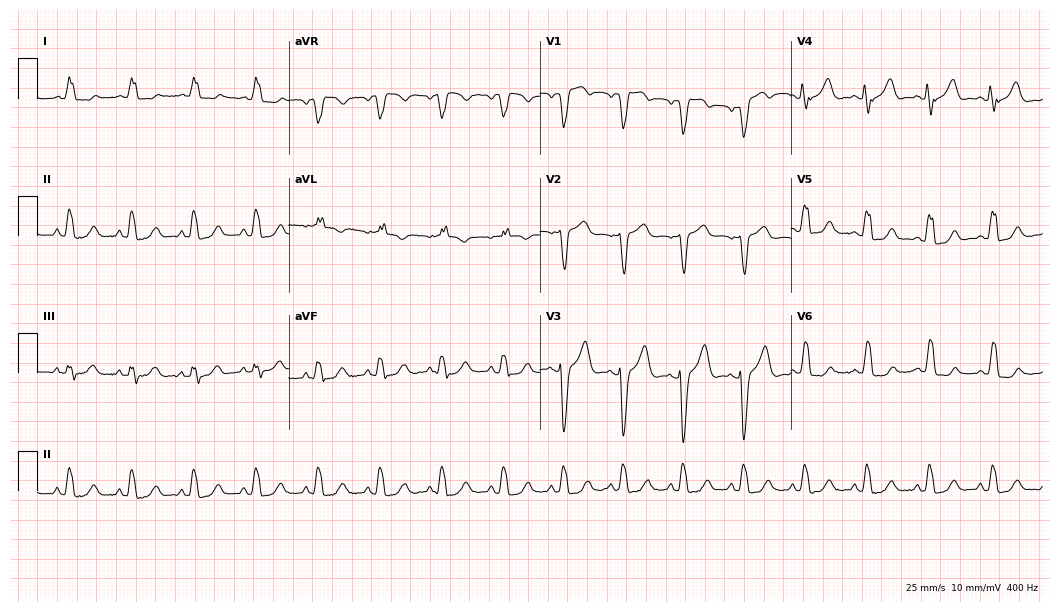
12-lead ECG from a woman, 73 years old. Shows left bundle branch block.